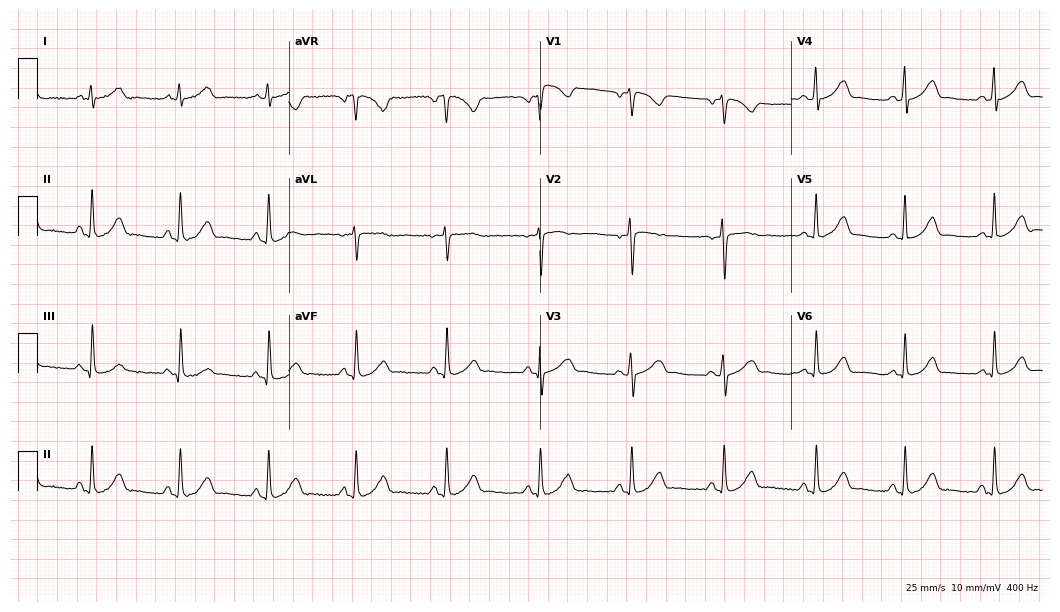
Resting 12-lead electrocardiogram (10.2-second recording at 400 Hz). Patient: a woman, 35 years old. Read as a normal ECG.